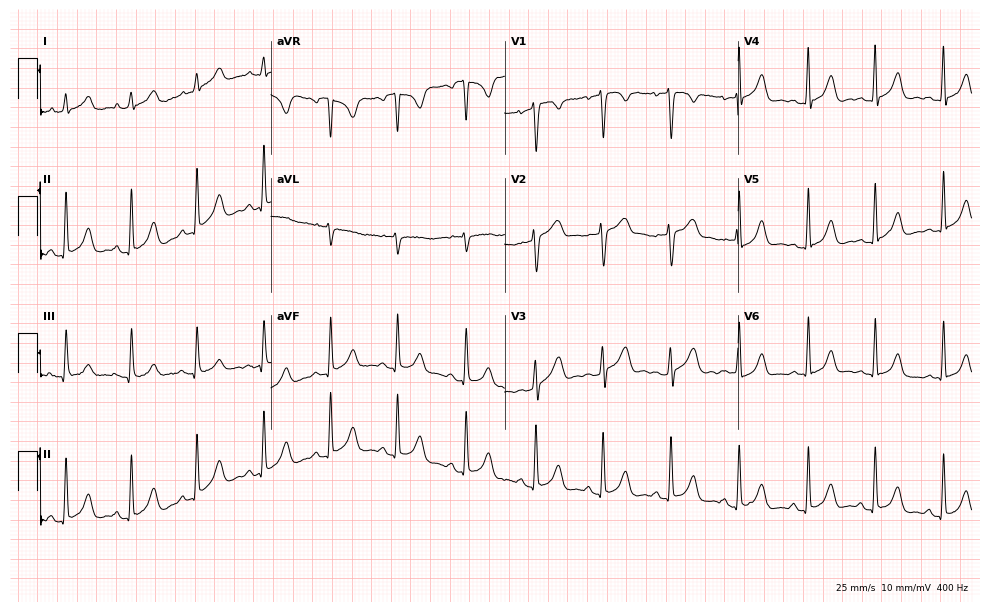
Standard 12-lead ECG recorded from a 34-year-old female patient (9.5-second recording at 400 Hz). Read as a normal ECG.